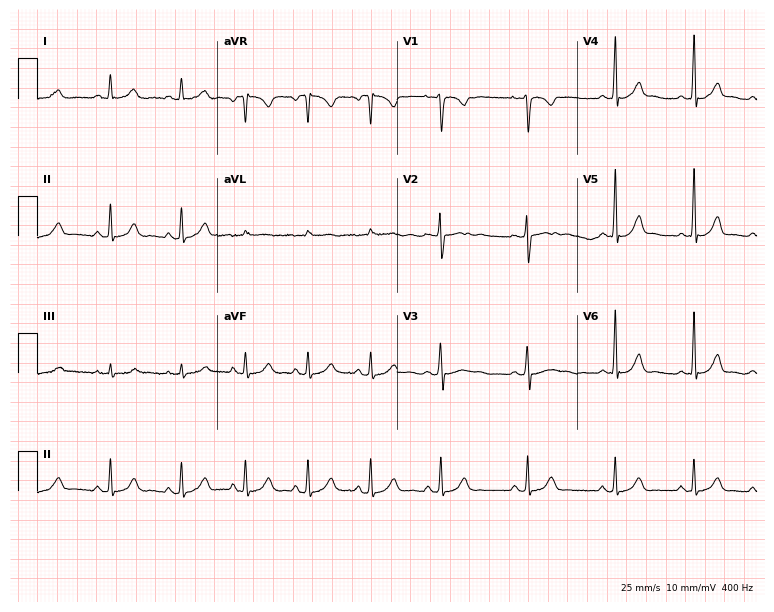
12-lead ECG from a 19-year-old woman. Labelled as a normal ECG.